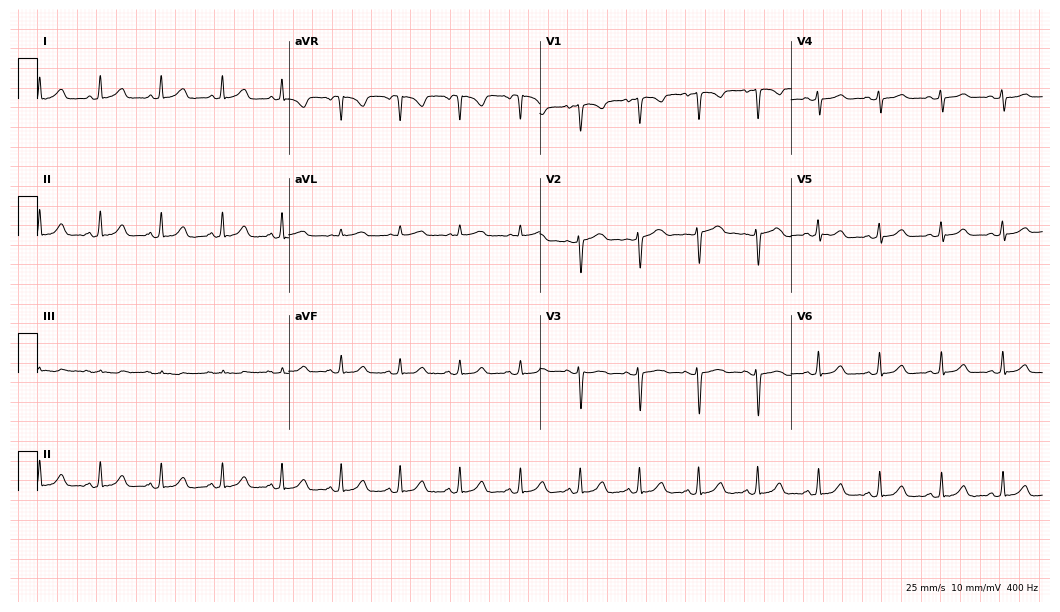
12-lead ECG (10.2-second recording at 400 Hz) from a woman, 29 years old. Labelled as a normal ECG.